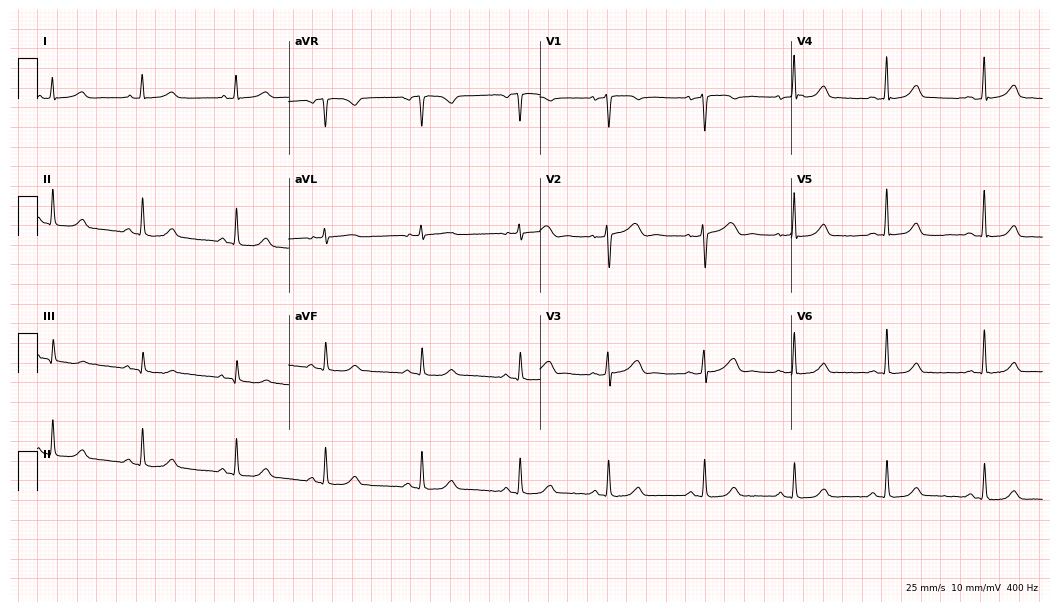
ECG (10.2-second recording at 400 Hz) — a 25-year-old woman. Labelled as a normal ECG.